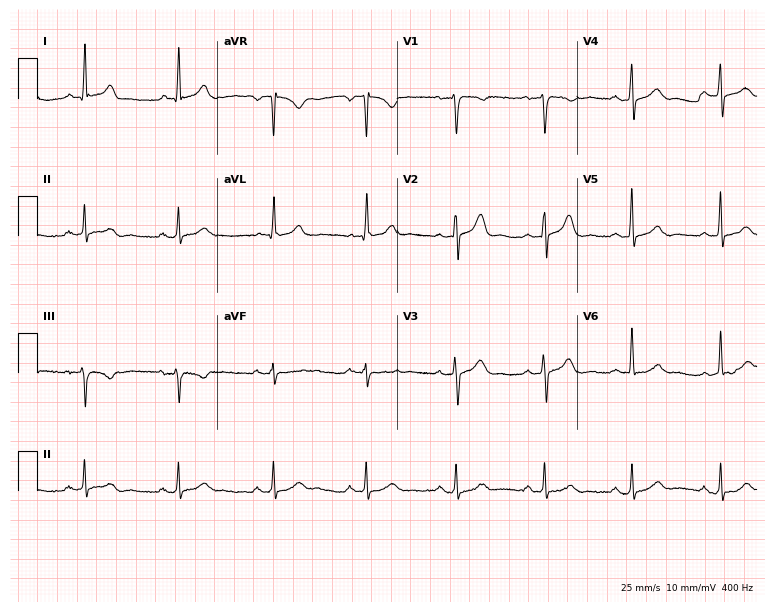
12-lead ECG from a man, 64 years old. Screened for six findings — first-degree AV block, right bundle branch block, left bundle branch block, sinus bradycardia, atrial fibrillation, sinus tachycardia — none is recorded.